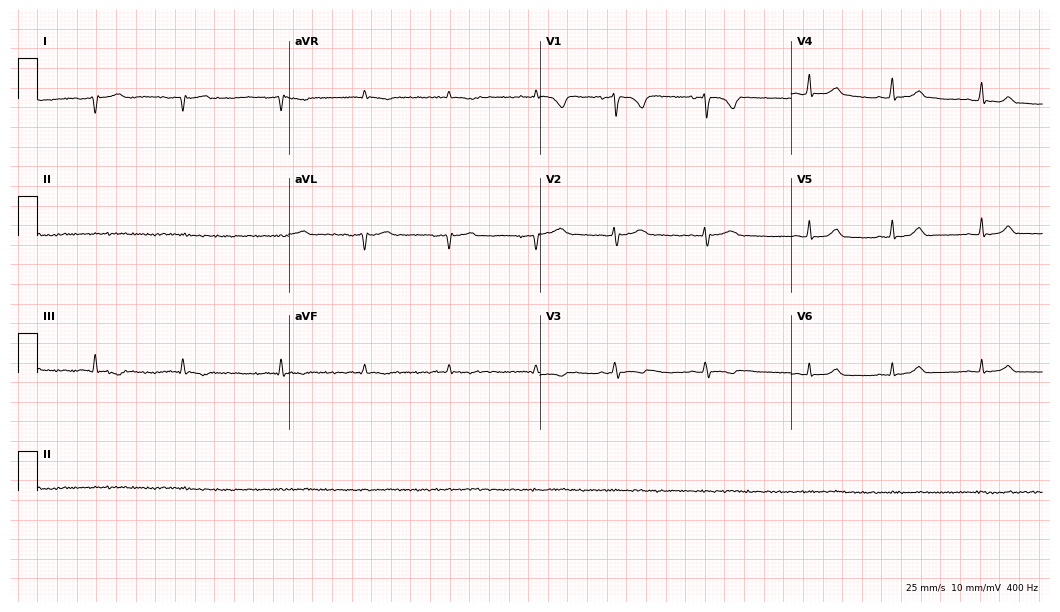
12-lead ECG from a 24-year-old female. No first-degree AV block, right bundle branch block (RBBB), left bundle branch block (LBBB), sinus bradycardia, atrial fibrillation (AF) or sinus tachycardia recorded for this tracing. Findings outside these six are not listed.